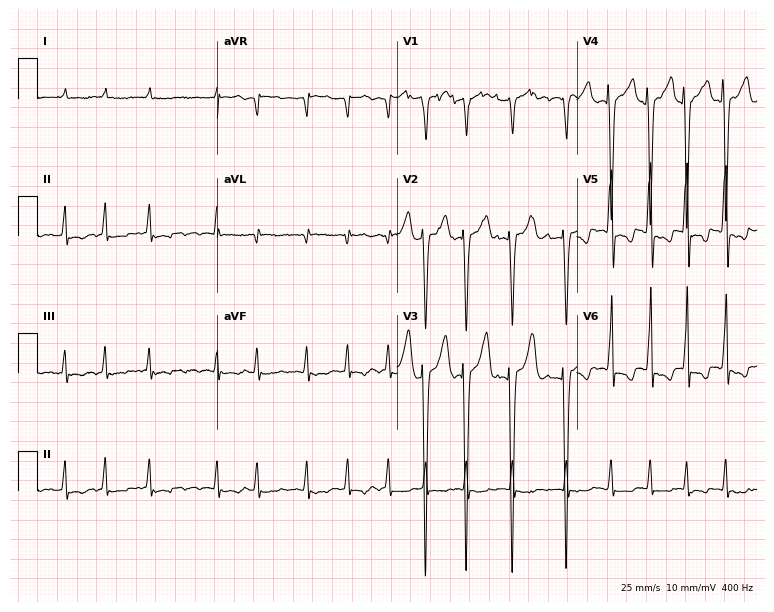
Electrocardiogram (7.3-second recording at 400 Hz), a man, 79 years old. Interpretation includes atrial fibrillation.